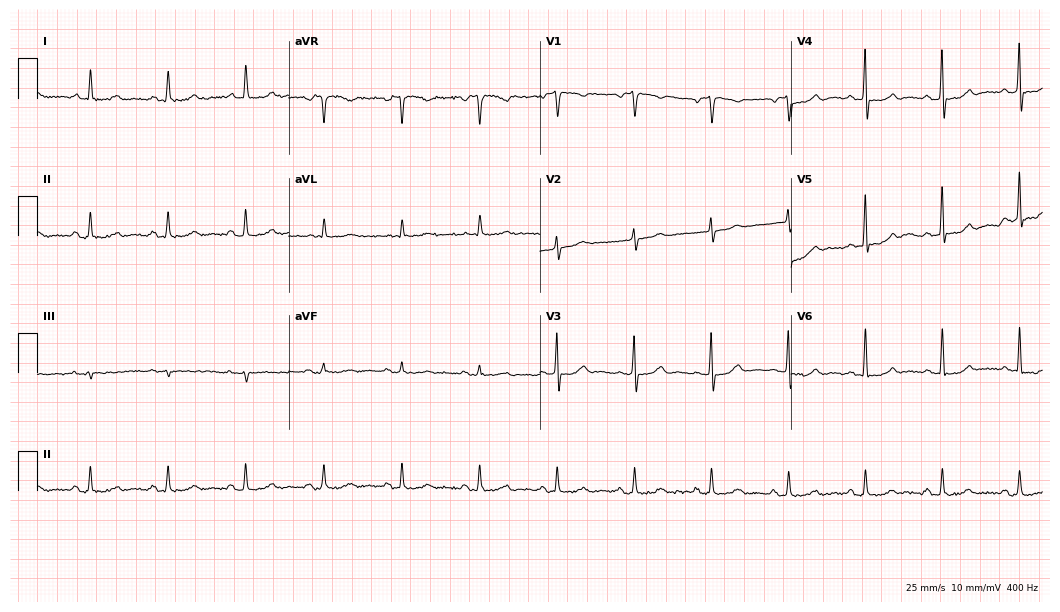
12-lead ECG from a male, 80 years old. Recorded interpretation: within normal limits.